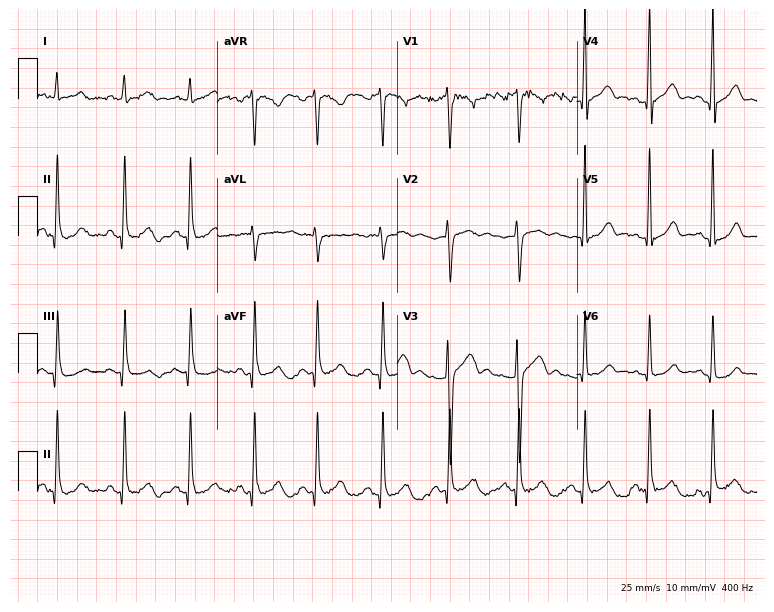
Standard 12-lead ECG recorded from a 44-year-old male patient. Read as a normal ECG.